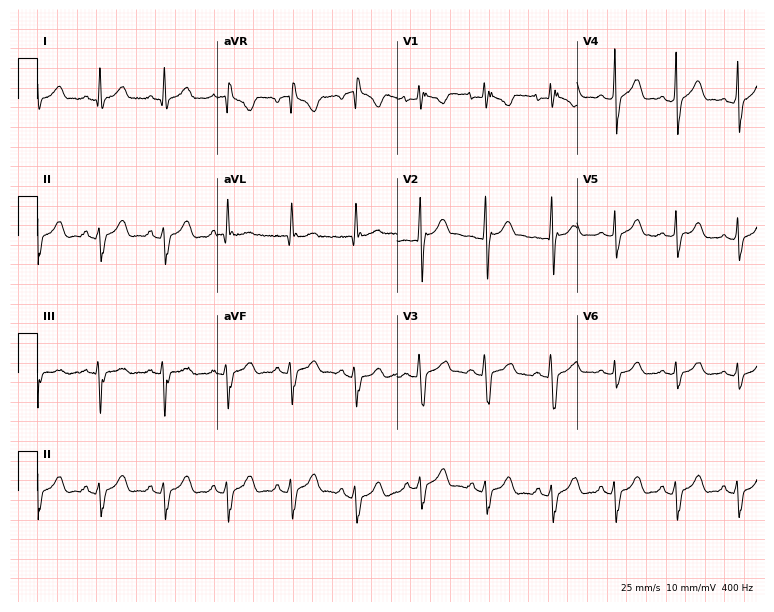
12-lead ECG from a man, 23 years old (7.3-second recording at 400 Hz). No first-degree AV block, right bundle branch block, left bundle branch block, sinus bradycardia, atrial fibrillation or sinus tachycardia recorded for this tracing. Only these six findings were labelled.